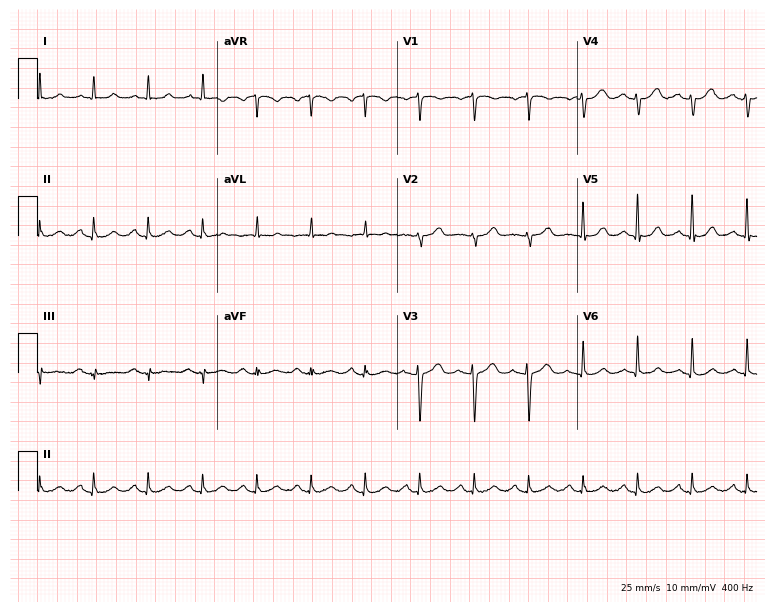
12-lead ECG from a 52-year-old woman (7.3-second recording at 400 Hz). No first-degree AV block, right bundle branch block (RBBB), left bundle branch block (LBBB), sinus bradycardia, atrial fibrillation (AF) or sinus tachycardia recorded for this tracing. Only these six findings were labelled.